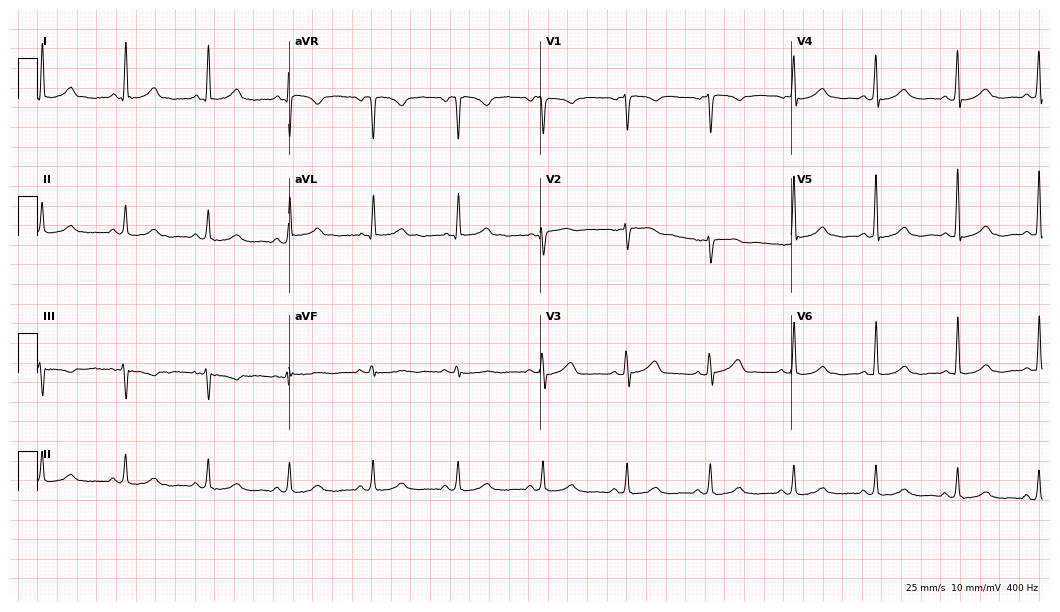
12-lead ECG from a 67-year-old female. Screened for six findings — first-degree AV block, right bundle branch block, left bundle branch block, sinus bradycardia, atrial fibrillation, sinus tachycardia — none is recorded. Only these six findings were labelled.